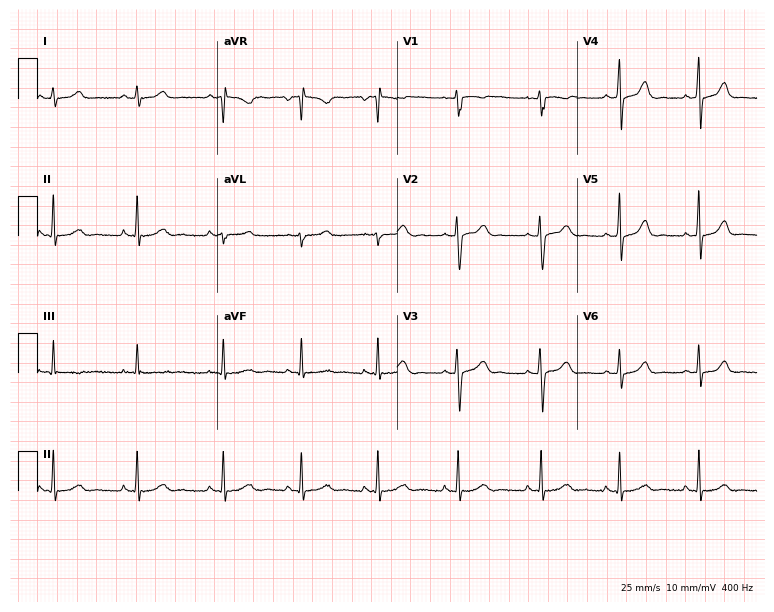
Standard 12-lead ECG recorded from a 29-year-old female (7.3-second recording at 400 Hz). Read as a normal ECG.